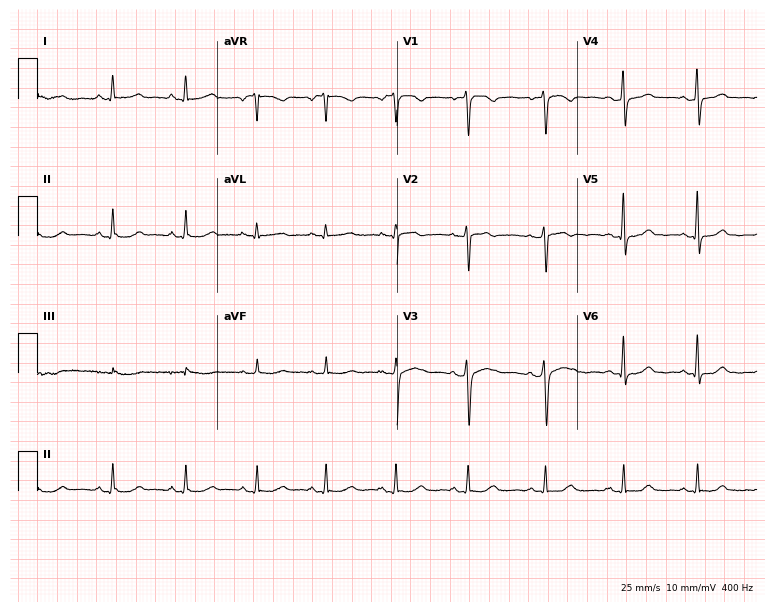
Standard 12-lead ECG recorded from a female, 52 years old (7.3-second recording at 400 Hz). None of these six findings is recorded: first-degree AV block, right bundle branch block, left bundle branch block, sinus bradycardia, atrial fibrillation, sinus tachycardia.